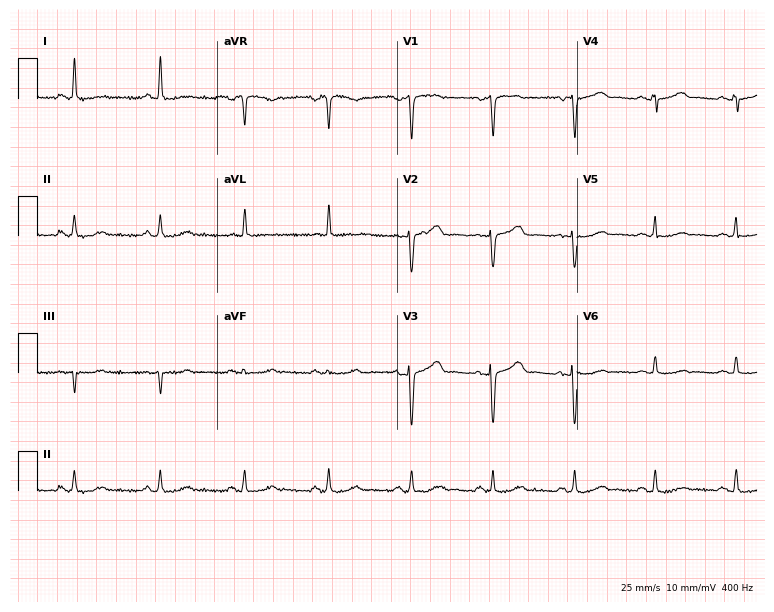
Resting 12-lead electrocardiogram. Patient: a female, 58 years old. Read as a normal ECG.